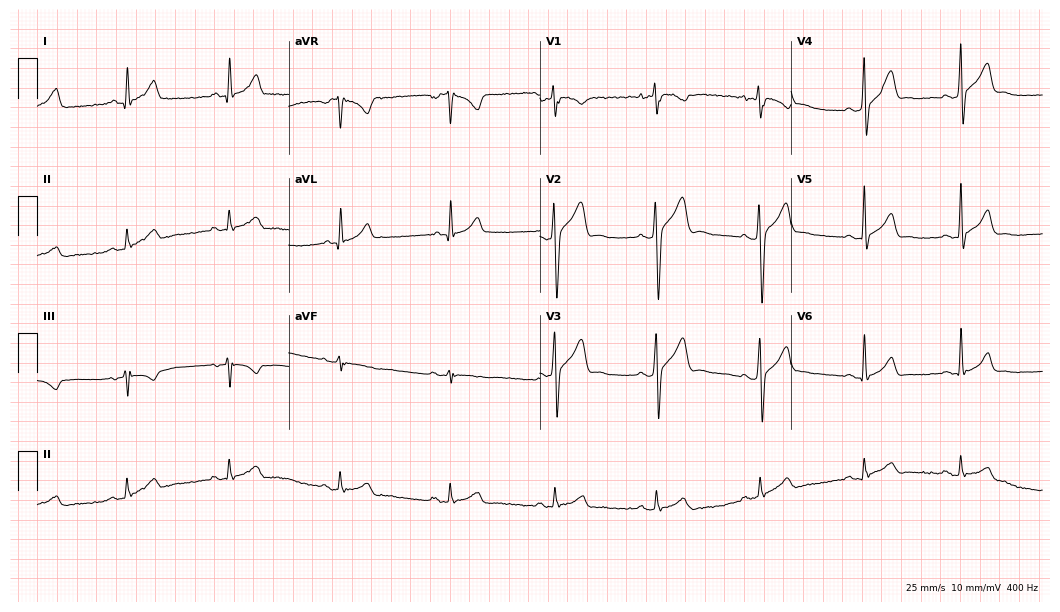
12-lead ECG from a 33-year-old male patient. Screened for six findings — first-degree AV block, right bundle branch block (RBBB), left bundle branch block (LBBB), sinus bradycardia, atrial fibrillation (AF), sinus tachycardia — none is recorded. Findings outside these six are not listed.